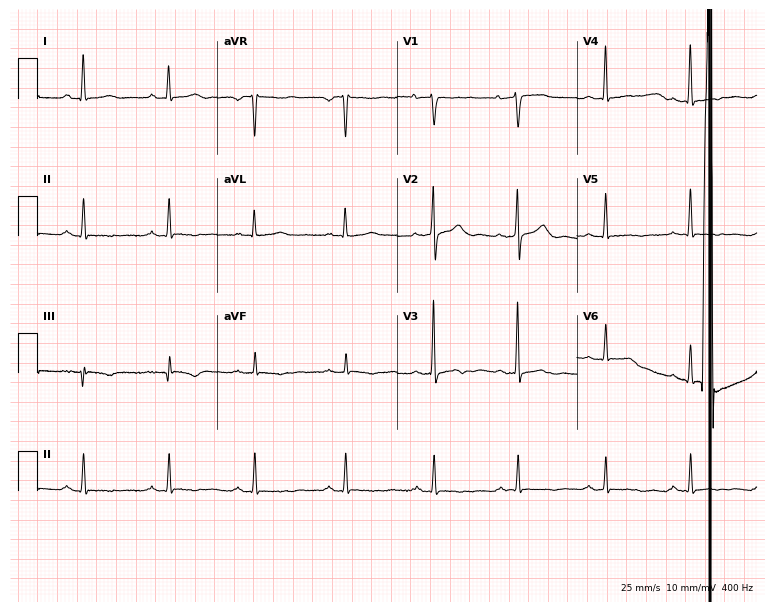
Standard 12-lead ECG recorded from a 61-year-old woman (7.3-second recording at 400 Hz). None of these six findings is recorded: first-degree AV block, right bundle branch block (RBBB), left bundle branch block (LBBB), sinus bradycardia, atrial fibrillation (AF), sinus tachycardia. Only these six findings were labelled.